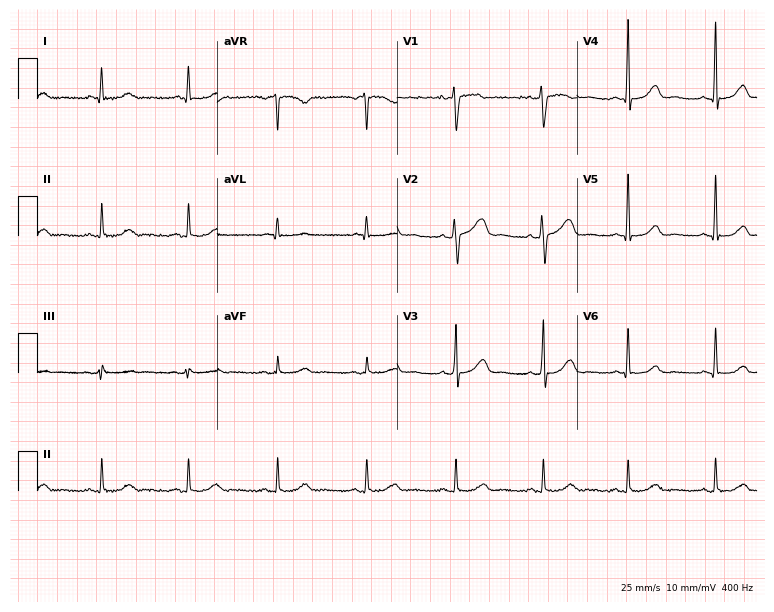
Electrocardiogram (7.3-second recording at 400 Hz), a woman, 49 years old. Overall reading on record: normal ECG.